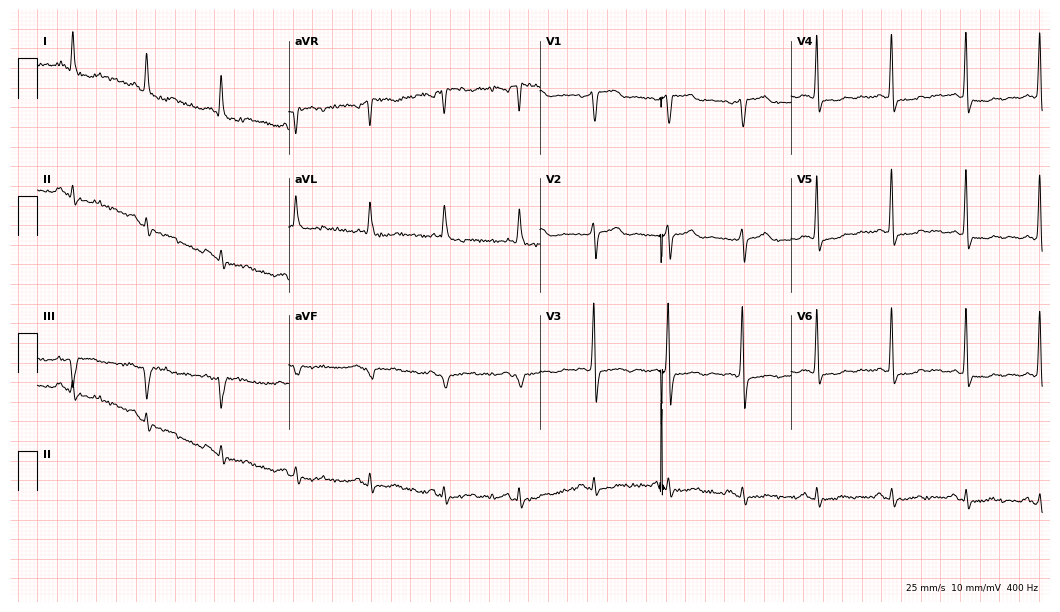
12-lead ECG from a 73-year-old male. Screened for six findings — first-degree AV block, right bundle branch block, left bundle branch block, sinus bradycardia, atrial fibrillation, sinus tachycardia — none is recorded. Other findings, if any, are not listed.